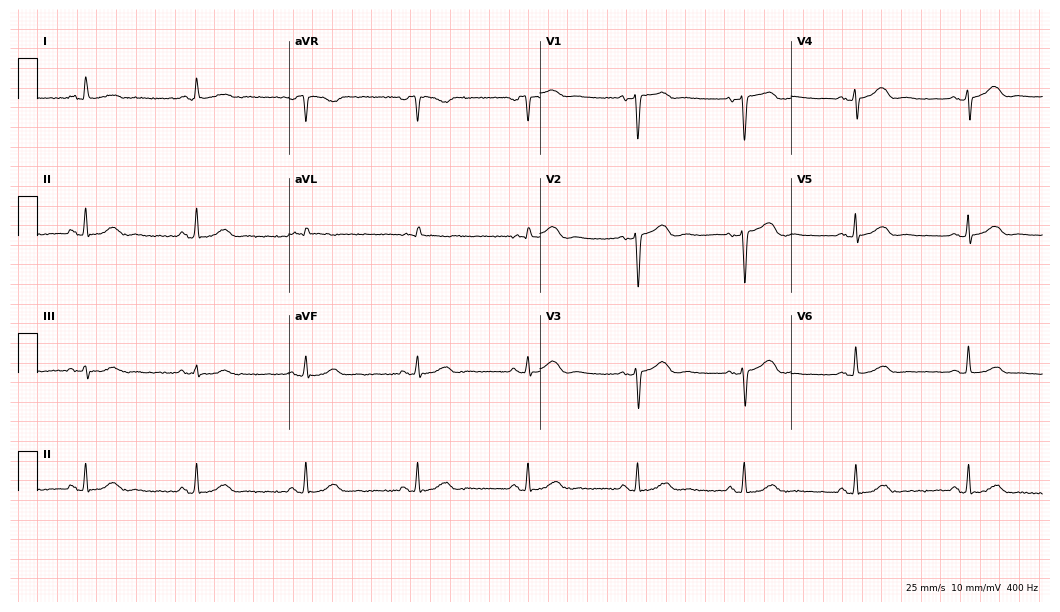
12-lead ECG (10.2-second recording at 400 Hz) from a 76-year-old female. Labelled as a normal ECG.